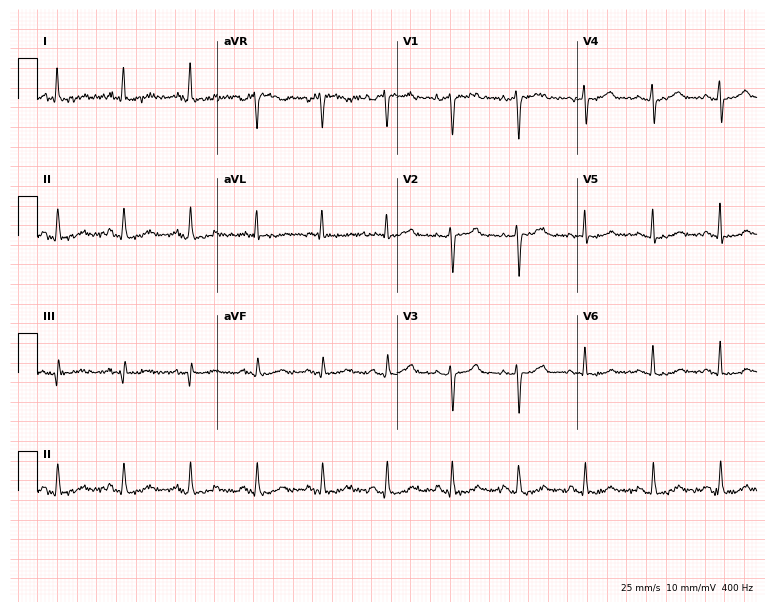
ECG (7.3-second recording at 400 Hz) — a 58-year-old woman. Screened for six findings — first-degree AV block, right bundle branch block, left bundle branch block, sinus bradycardia, atrial fibrillation, sinus tachycardia — none is recorded. Findings outside these six are not listed.